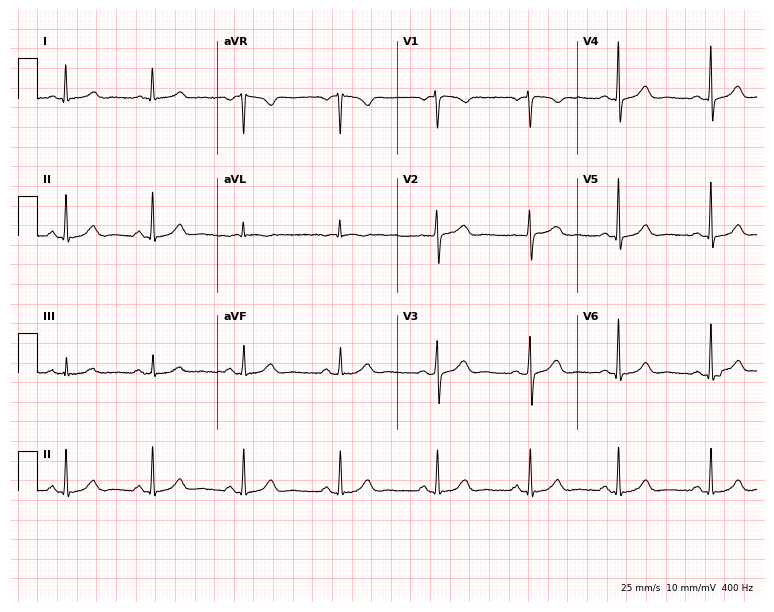
12-lead ECG from a female patient, 48 years old. Recorded interpretation: within normal limits.